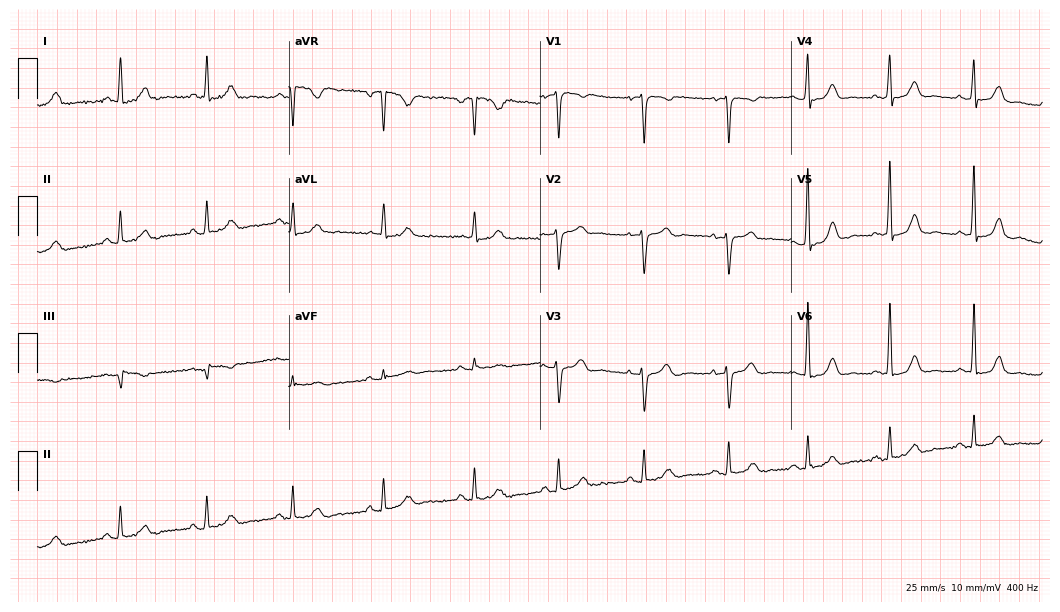
Resting 12-lead electrocardiogram (10.2-second recording at 400 Hz). Patient: a 53-year-old female. None of these six findings is recorded: first-degree AV block, right bundle branch block (RBBB), left bundle branch block (LBBB), sinus bradycardia, atrial fibrillation (AF), sinus tachycardia. Other findings, if any, are not listed.